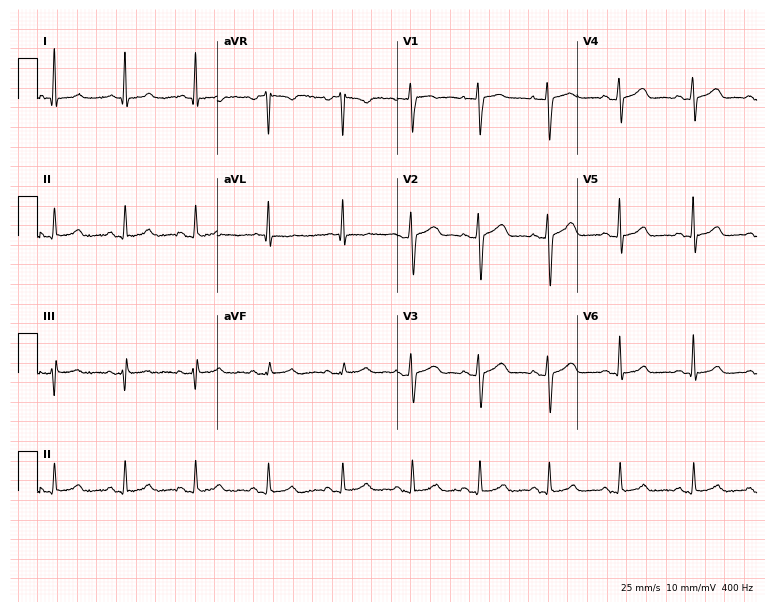
Resting 12-lead electrocardiogram. Patient: a female, 36 years old. Read as a normal ECG.